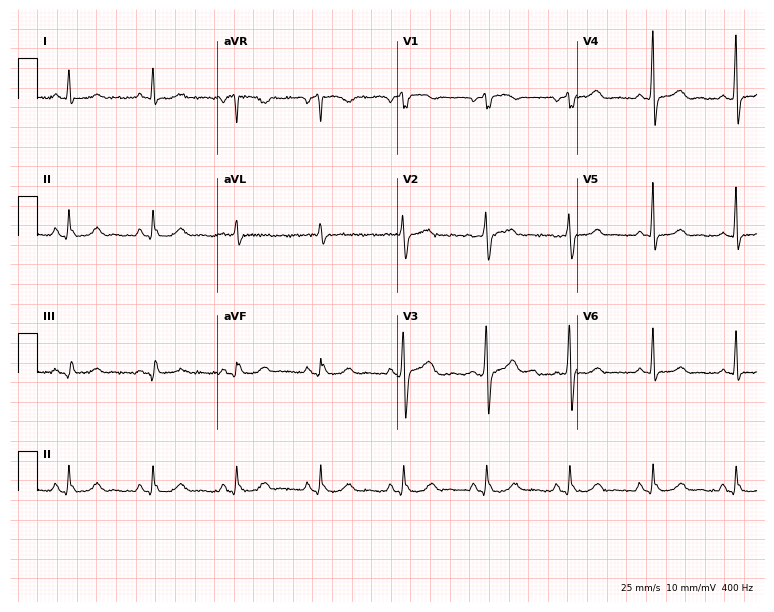
12-lead ECG from a man, 58 years old. Recorded interpretation: within normal limits.